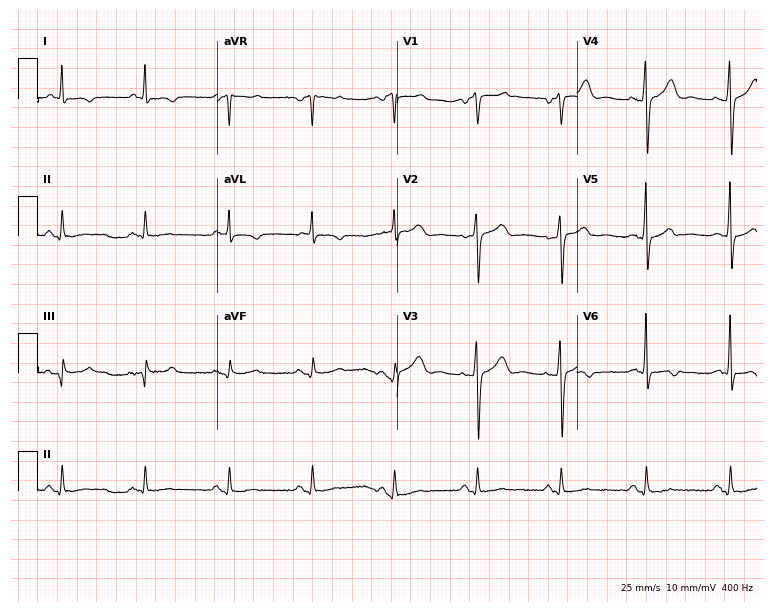
ECG (7.3-second recording at 400 Hz) — a male patient, 66 years old. Screened for six findings — first-degree AV block, right bundle branch block, left bundle branch block, sinus bradycardia, atrial fibrillation, sinus tachycardia — none is recorded.